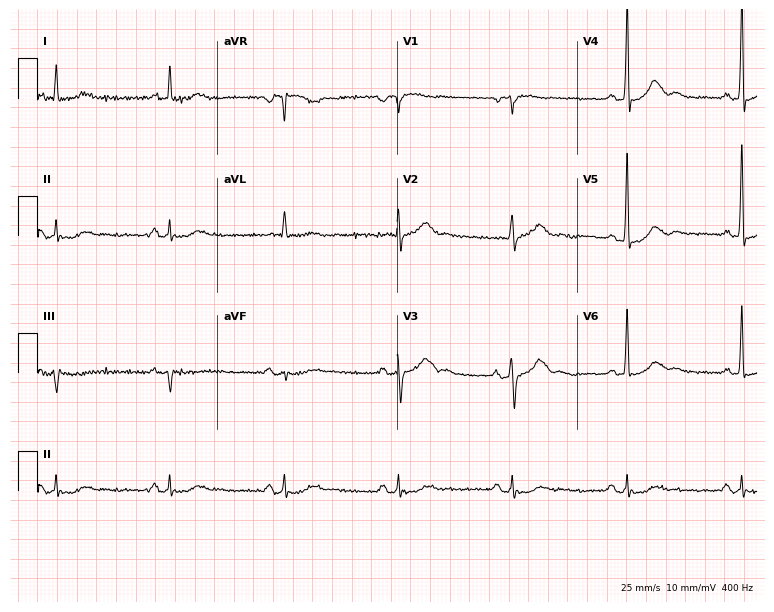
ECG — a 73-year-old male patient. Screened for six findings — first-degree AV block, right bundle branch block (RBBB), left bundle branch block (LBBB), sinus bradycardia, atrial fibrillation (AF), sinus tachycardia — none is recorded. Findings outside these six are not listed.